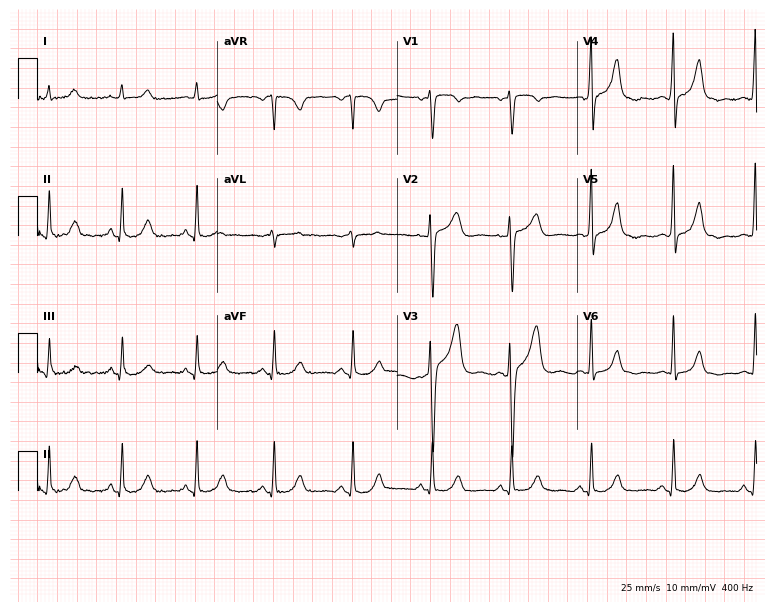
12-lead ECG from a 62-year-old male. Screened for six findings — first-degree AV block, right bundle branch block, left bundle branch block, sinus bradycardia, atrial fibrillation, sinus tachycardia — none is recorded.